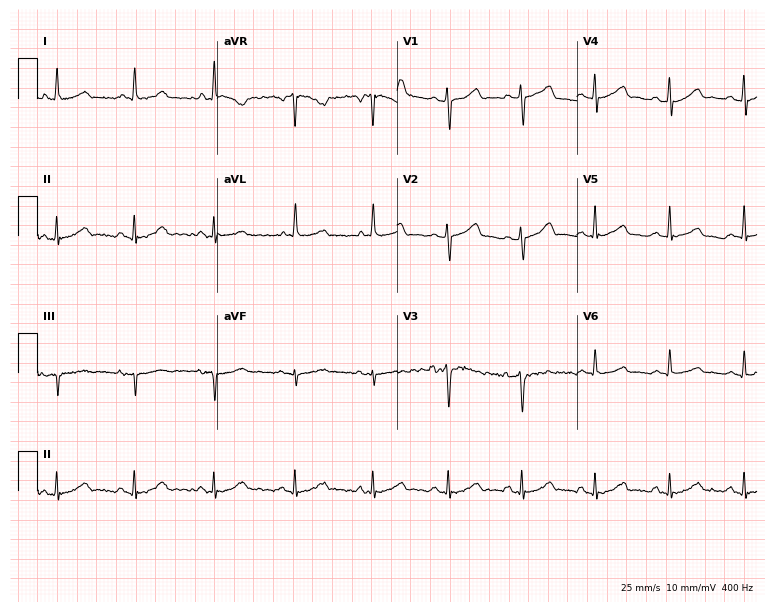
Standard 12-lead ECG recorded from a female patient, 43 years old. Read as a normal ECG.